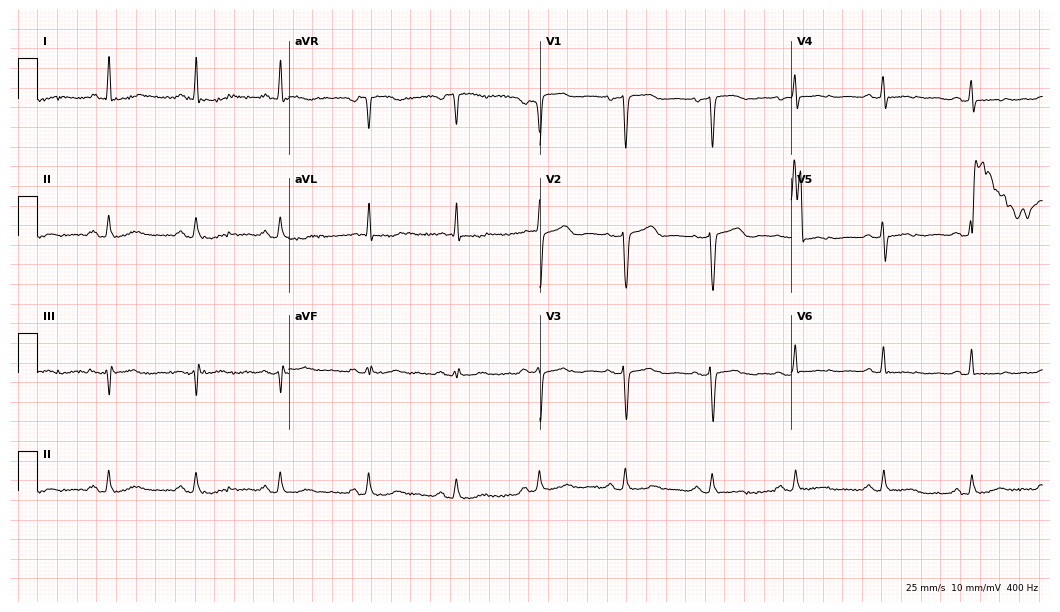
ECG — a 78-year-old woman. Screened for six findings — first-degree AV block, right bundle branch block, left bundle branch block, sinus bradycardia, atrial fibrillation, sinus tachycardia — none is recorded. Findings outside these six are not listed.